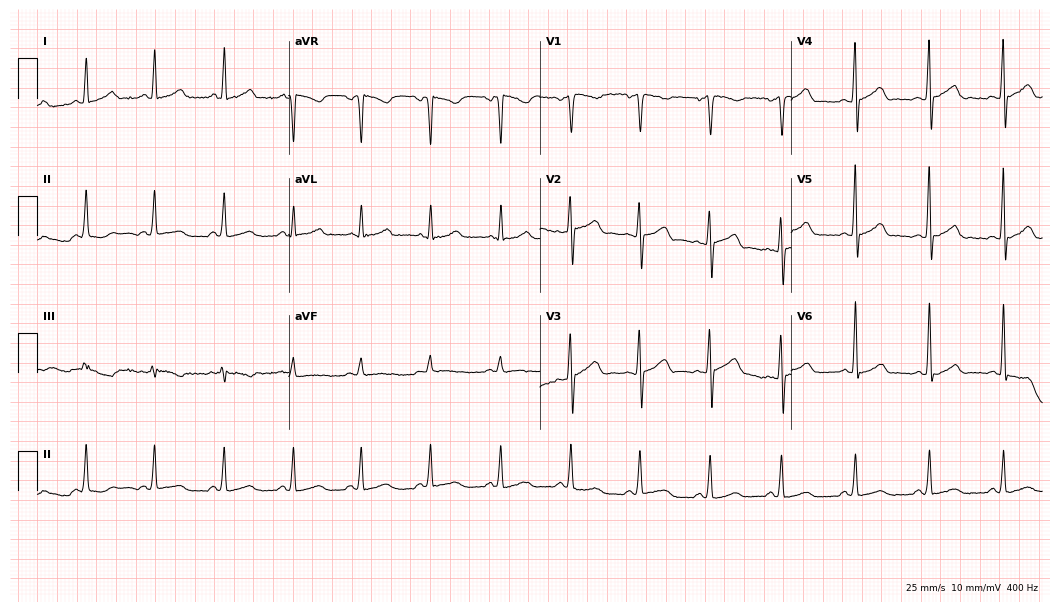
Standard 12-lead ECG recorded from a 32-year-old woman (10.2-second recording at 400 Hz). None of these six findings is recorded: first-degree AV block, right bundle branch block (RBBB), left bundle branch block (LBBB), sinus bradycardia, atrial fibrillation (AF), sinus tachycardia.